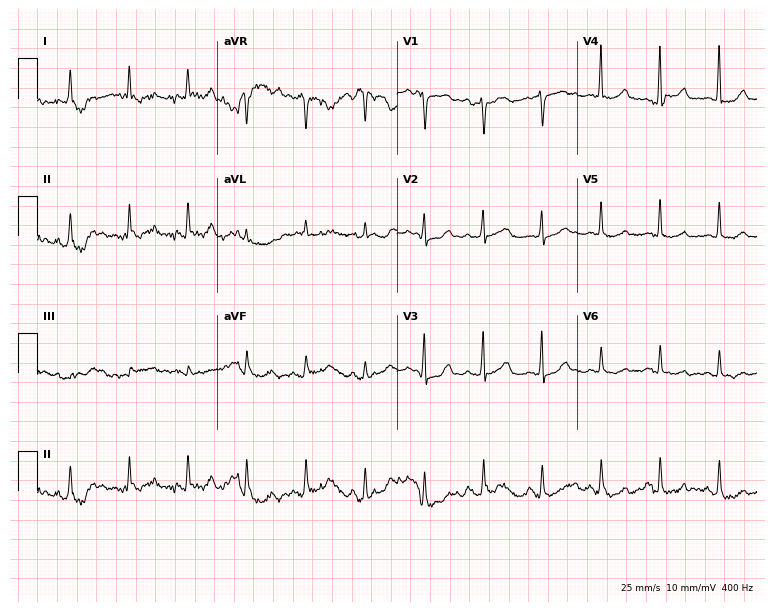
Standard 12-lead ECG recorded from a female patient, 67 years old. None of these six findings is recorded: first-degree AV block, right bundle branch block (RBBB), left bundle branch block (LBBB), sinus bradycardia, atrial fibrillation (AF), sinus tachycardia.